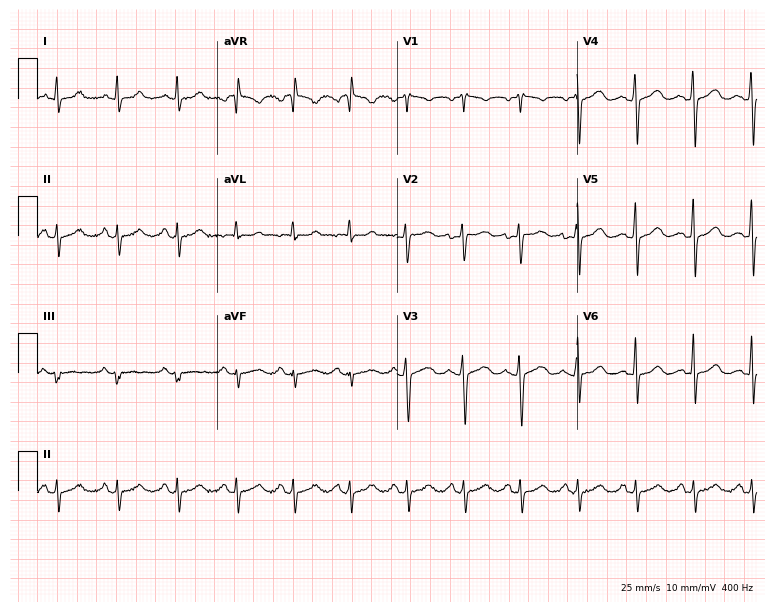
12-lead ECG (7.3-second recording at 400 Hz) from a female patient, 27 years old. Findings include sinus tachycardia (a sinus rate of 100 beats per minute or more).